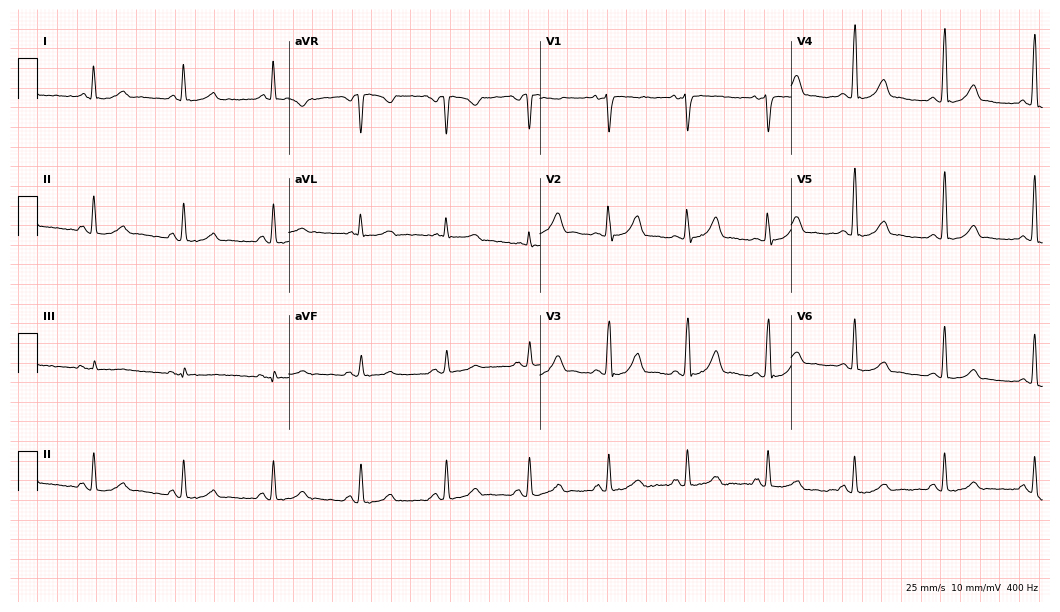
12-lead ECG from a 65-year-old female. Labelled as a normal ECG.